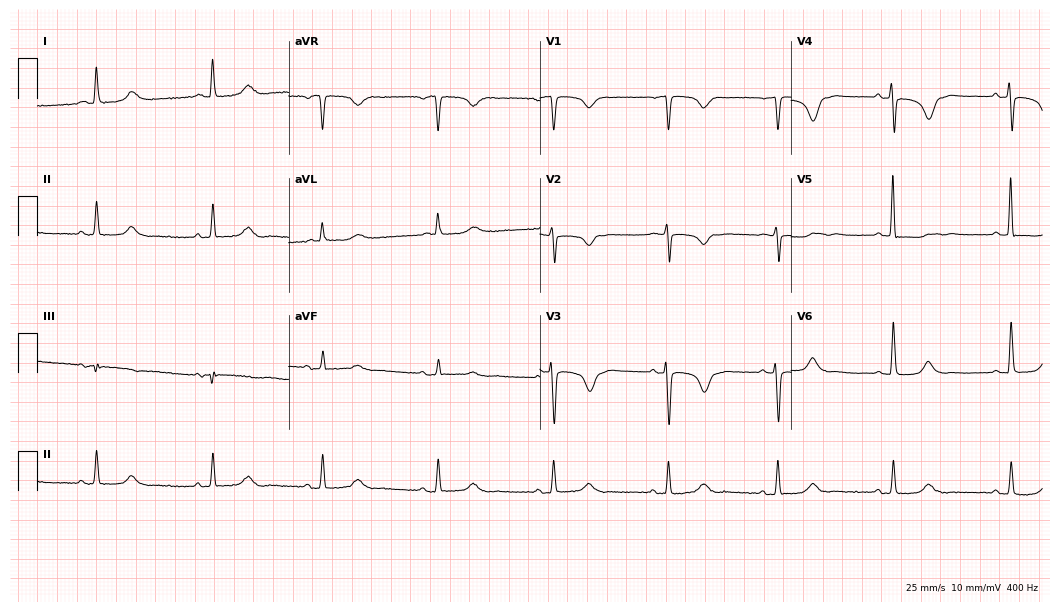
Electrocardiogram, a woman, 75 years old. Of the six screened findings (first-degree AV block, right bundle branch block (RBBB), left bundle branch block (LBBB), sinus bradycardia, atrial fibrillation (AF), sinus tachycardia), none is recorded.